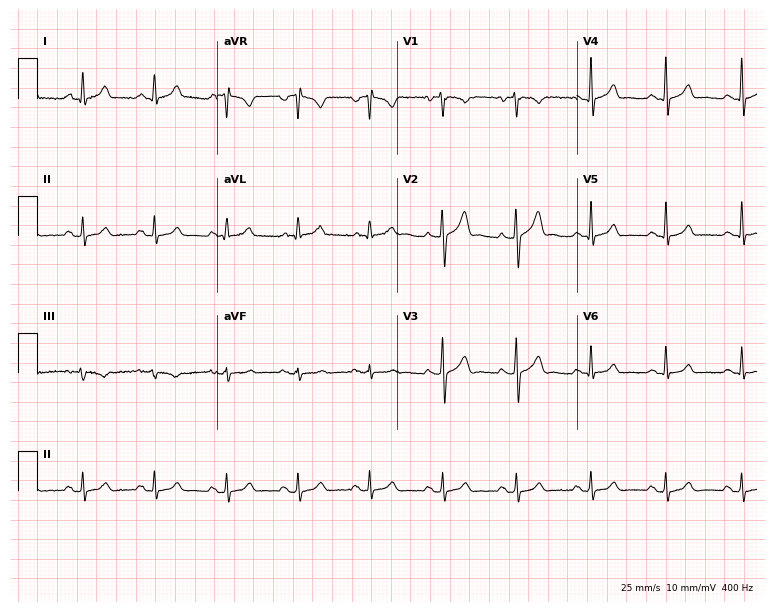
12-lead ECG (7.3-second recording at 400 Hz) from a man, 42 years old. Labelled as a normal ECG.